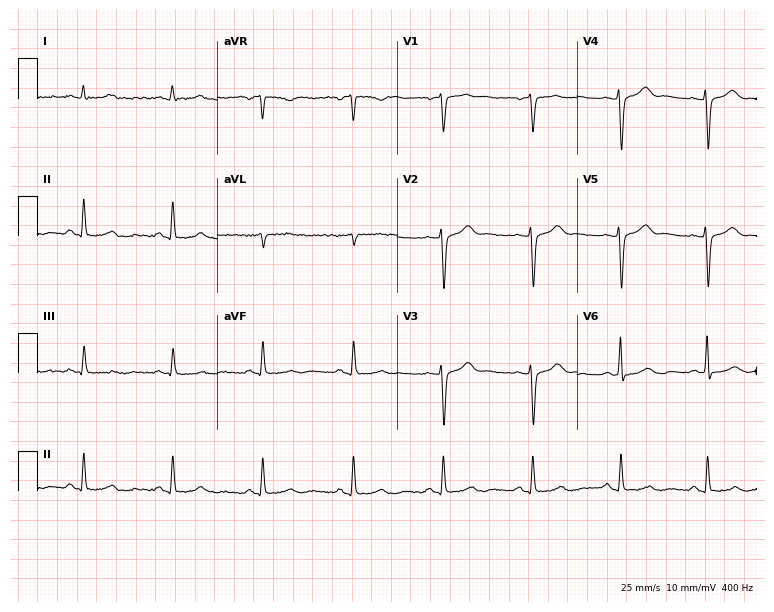
Resting 12-lead electrocardiogram (7.3-second recording at 400 Hz). Patient: a 42-year-old female. None of these six findings is recorded: first-degree AV block, right bundle branch block (RBBB), left bundle branch block (LBBB), sinus bradycardia, atrial fibrillation (AF), sinus tachycardia. Other findings, if any, are not listed.